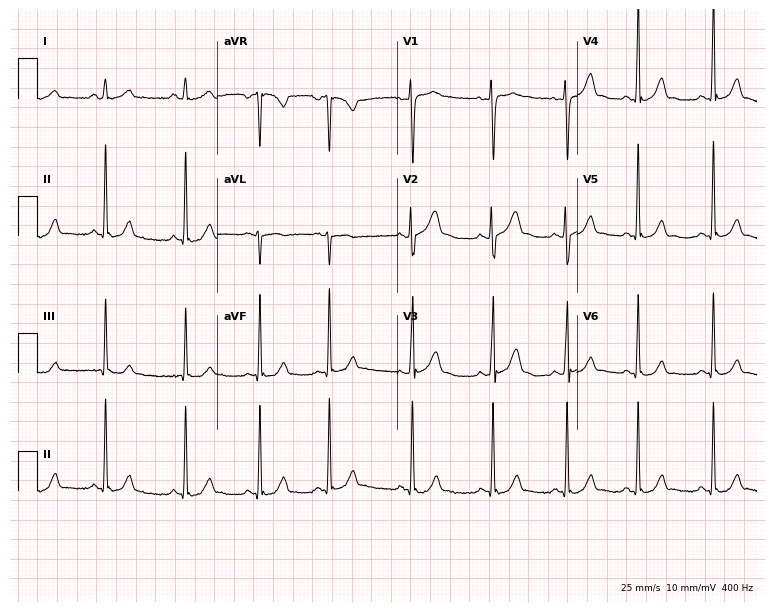
12-lead ECG (7.3-second recording at 400 Hz) from a 17-year-old male. Screened for six findings — first-degree AV block, right bundle branch block, left bundle branch block, sinus bradycardia, atrial fibrillation, sinus tachycardia — none is recorded. Only these six findings were labelled.